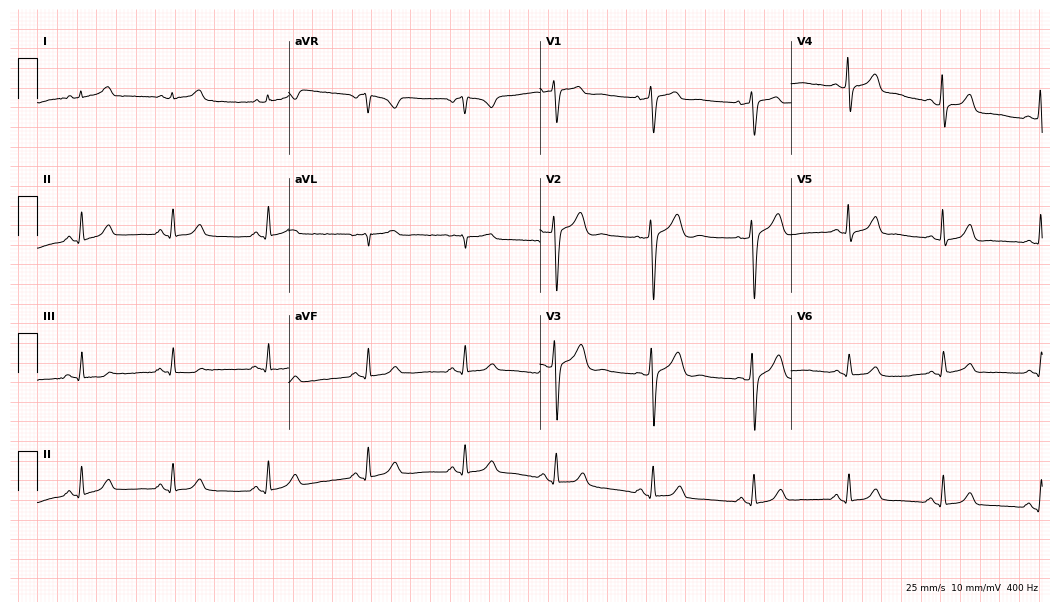
Electrocardiogram (10.2-second recording at 400 Hz), a woman, 35 years old. Overall reading on record: normal ECG.